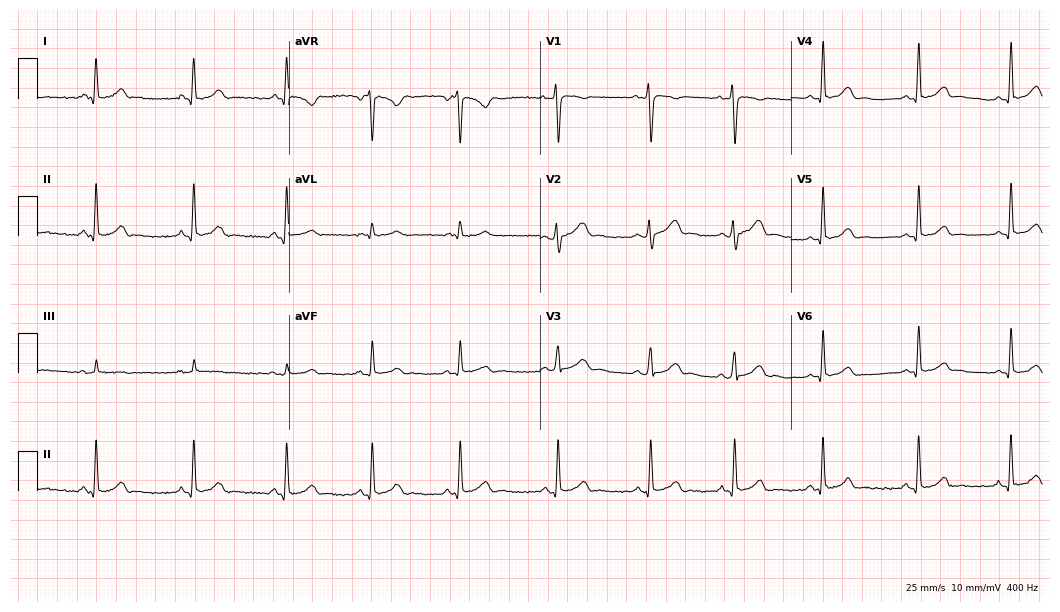
ECG (10.2-second recording at 400 Hz) — a 25-year-old woman. Screened for six findings — first-degree AV block, right bundle branch block, left bundle branch block, sinus bradycardia, atrial fibrillation, sinus tachycardia — none is recorded. Findings outside these six are not listed.